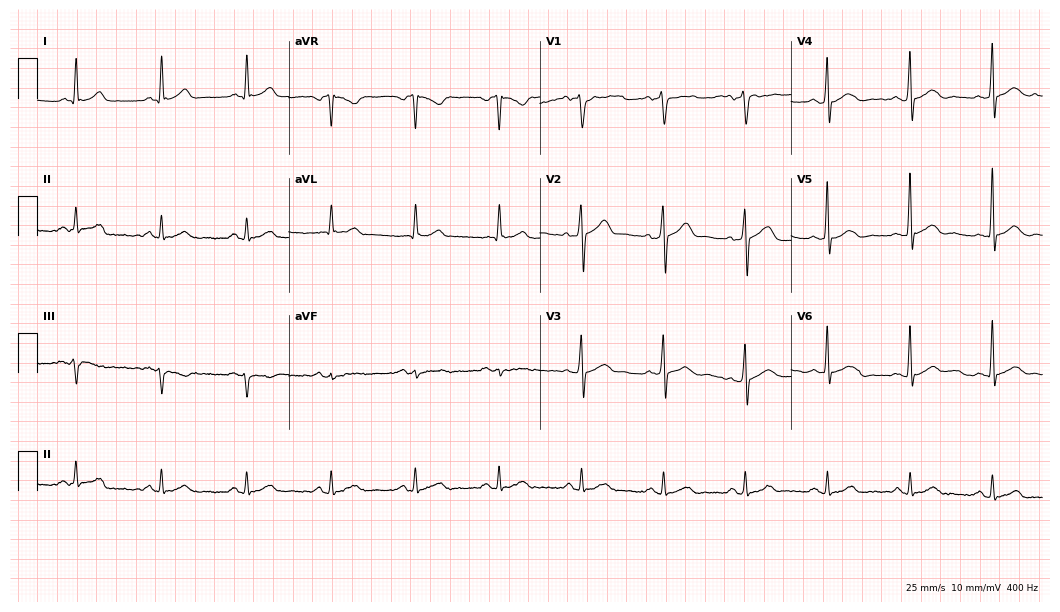
Electrocardiogram (10.2-second recording at 400 Hz), a 25-year-old man. Overall reading on record: normal ECG.